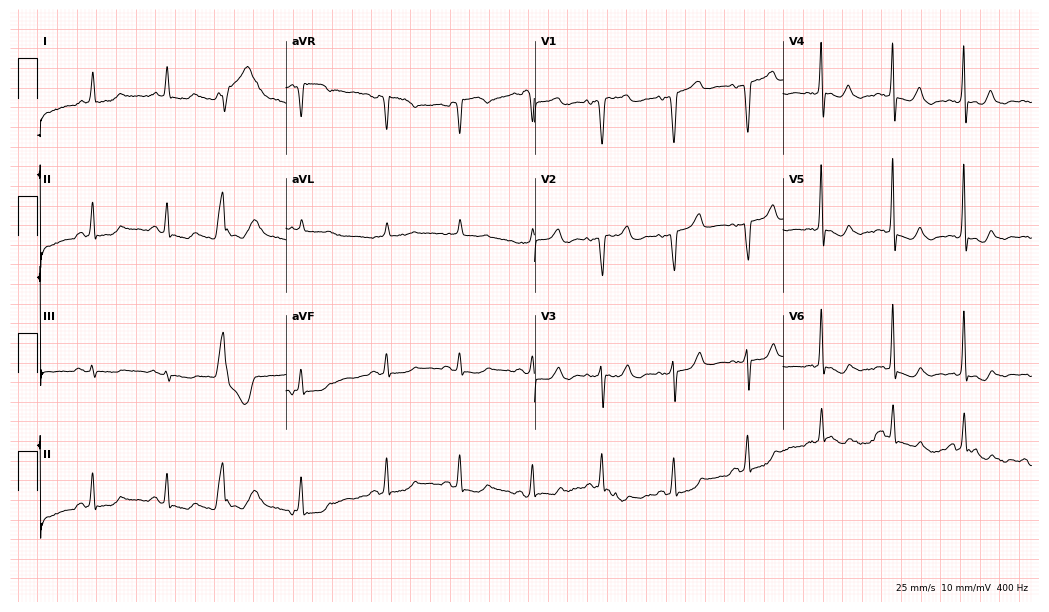
12-lead ECG from a 71-year-old female patient (10.1-second recording at 400 Hz). No first-degree AV block, right bundle branch block (RBBB), left bundle branch block (LBBB), sinus bradycardia, atrial fibrillation (AF) or sinus tachycardia recorded for this tracing.